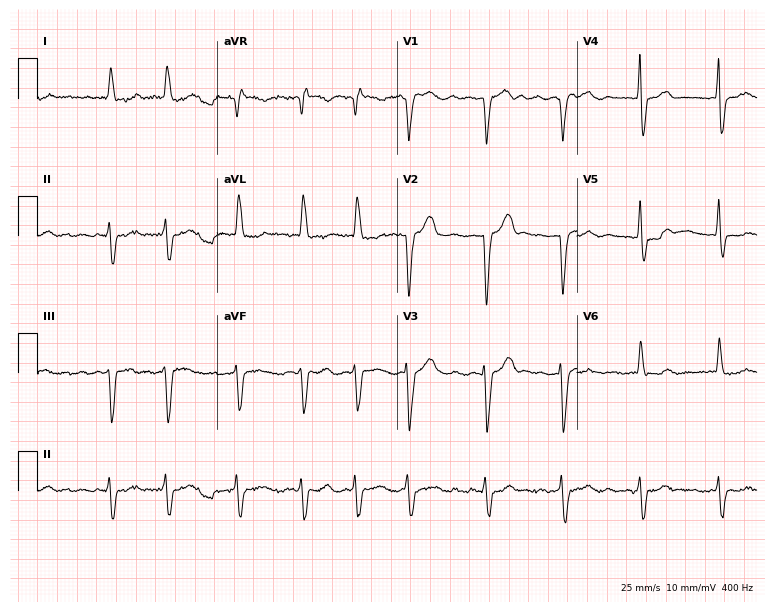
12-lead ECG from a 79-year-old female. Findings include left bundle branch block, atrial fibrillation.